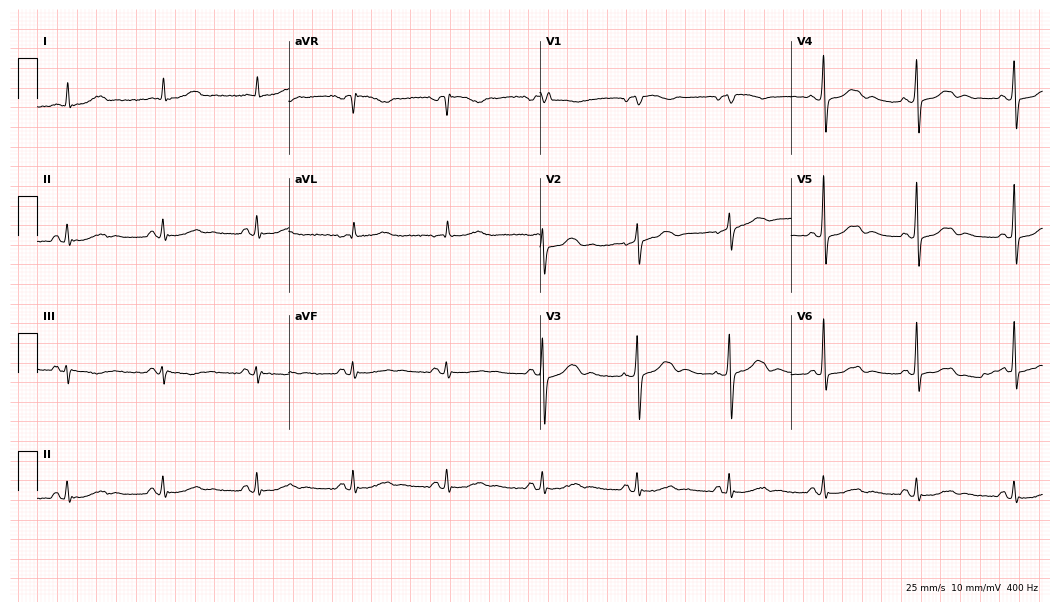
Standard 12-lead ECG recorded from a male patient, 80 years old. Read as a normal ECG.